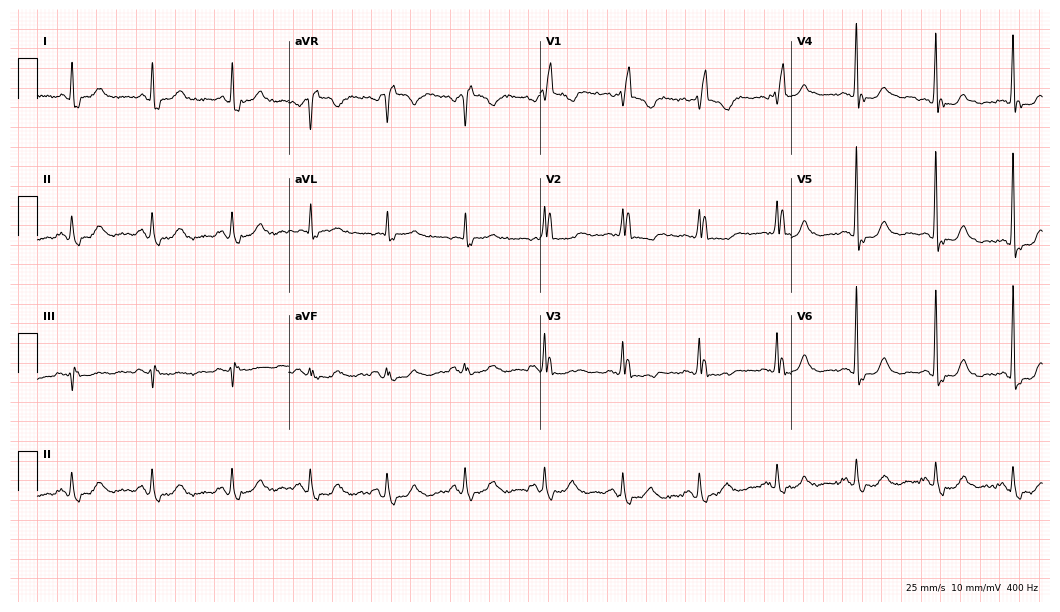
12-lead ECG from an 82-year-old woman. Findings include right bundle branch block.